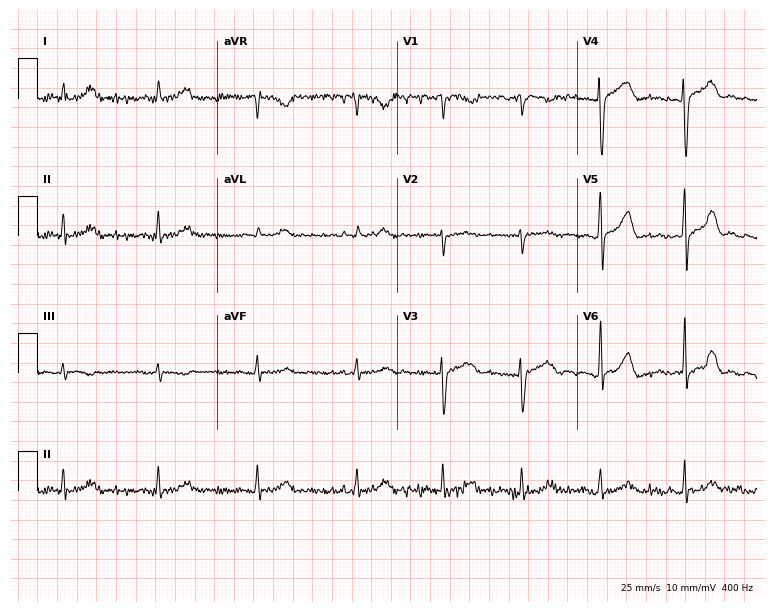
ECG (7.3-second recording at 400 Hz) — a 40-year-old female patient. Screened for six findings — first-degree AV block, right bundle branch block, left bundle branch block, sinus bradycardia, atrial fibrillation, sinus tachycardia — none is recorded.